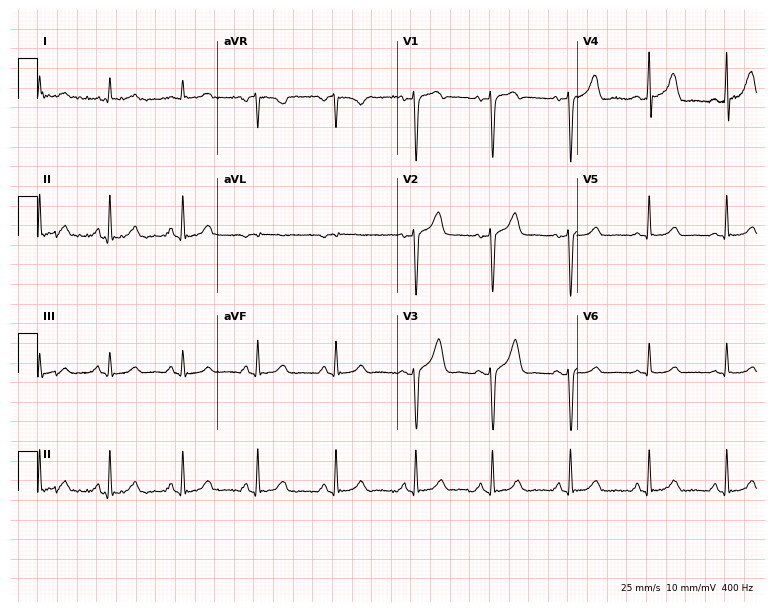
Standard 12-lead ECG recorded from a 44-year-old male (7.3-second recording at 400 Hz). None of these six findings is recorded: first-degree AV block, right bundle branch block, left bundle branch block, sinus bradycardia, atrial fibrillation, sinus tachycardia.